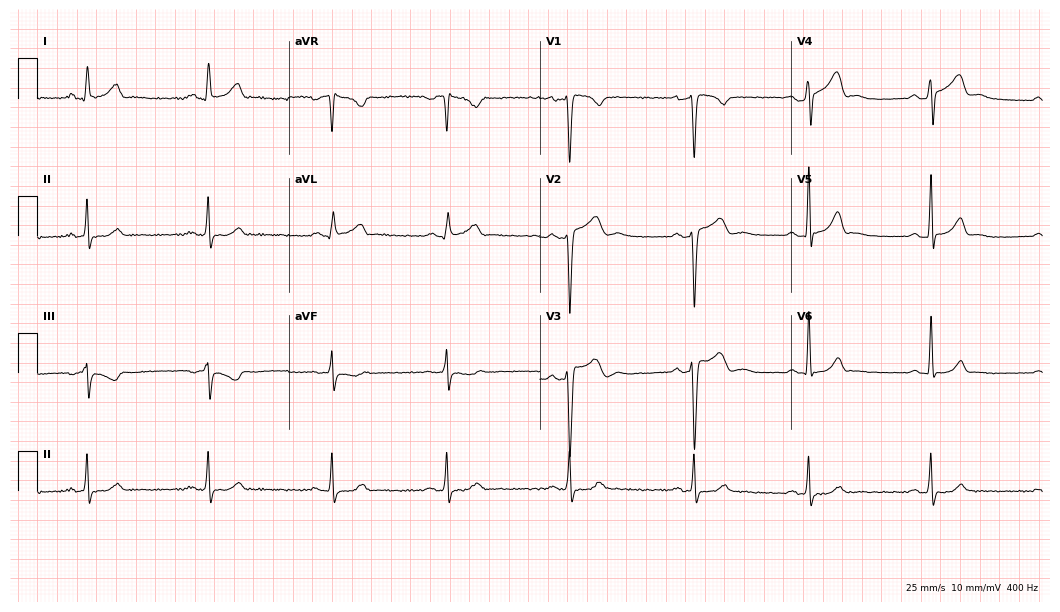
Electrocardiogram, a 38-year-old male. Overall reading on record: normal ECG.